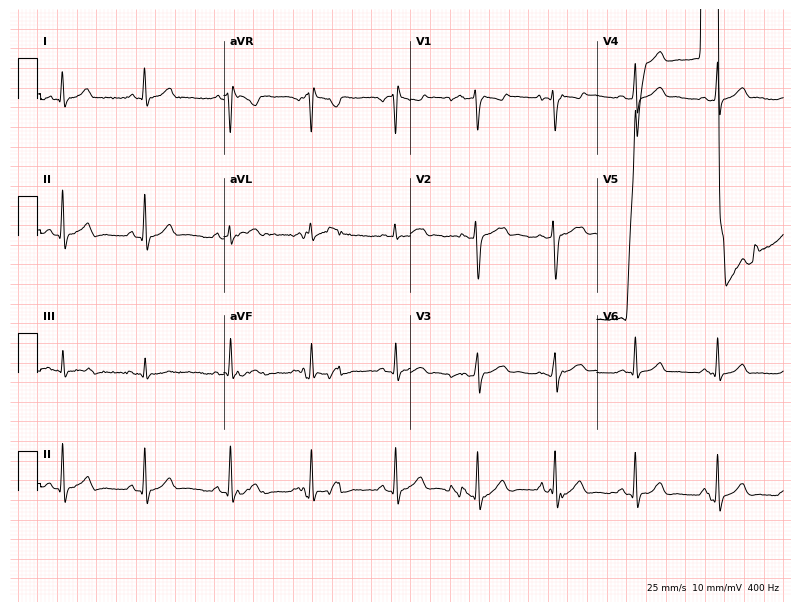
12-lead ECG from a 24-year-old woman (7.6-second recording at 400 Hz). No first-degree AV block, right bundle branch block, left bundle branch block, sinus bradycardia, atrial fibrillation or sinus tachycardia recorded for this tracing.